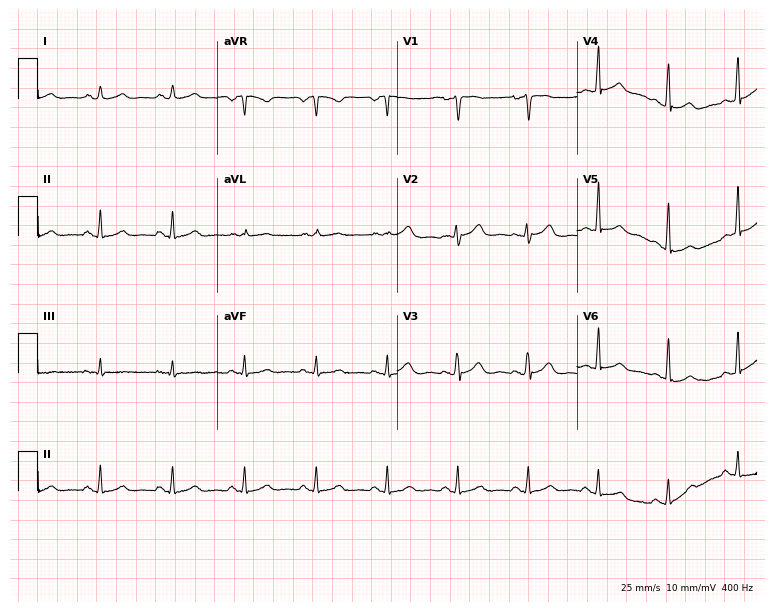
ECG (7.3-second recording at 400 Hz) — a female patient, 52 years old. Labelled as a normal ECG.